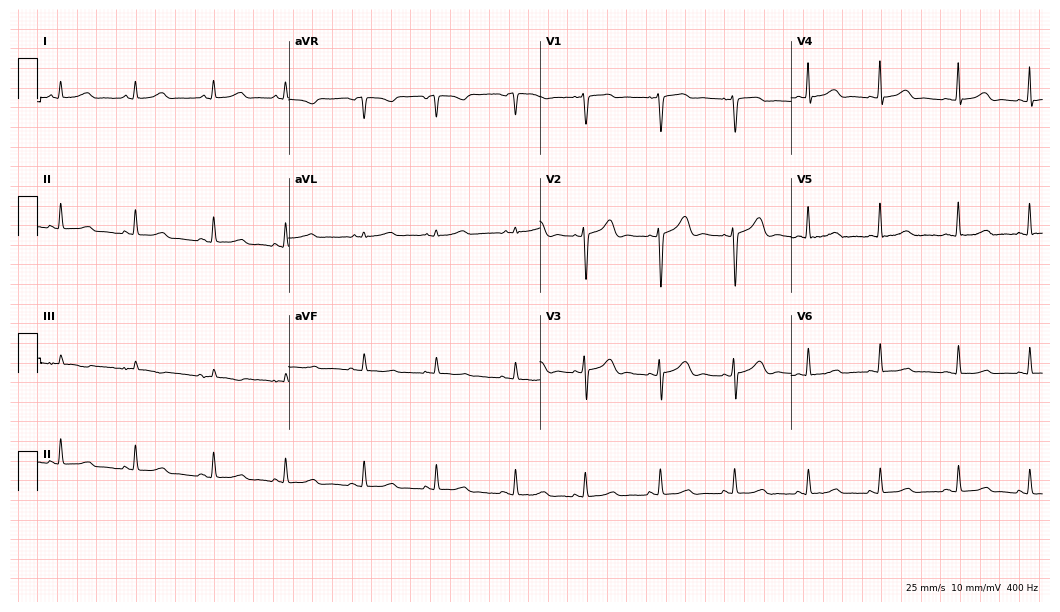
12-lead ECG from a 47-year-old woman (10.2-second recording at 400 Hz). Recorded interpretation: within normal limits.